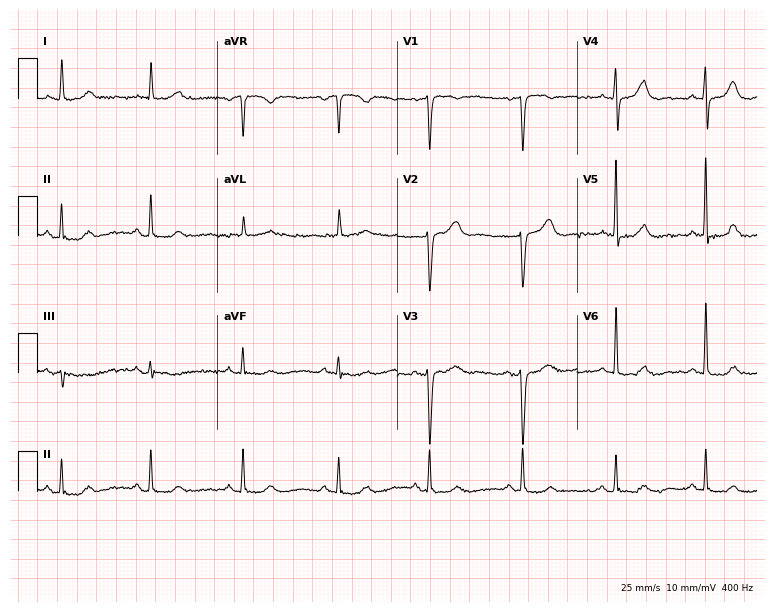
Standard 12-lead ECG recorded from a 76-year-old female (7.3-second recording at 400 Hz). Read as a normal ECG.